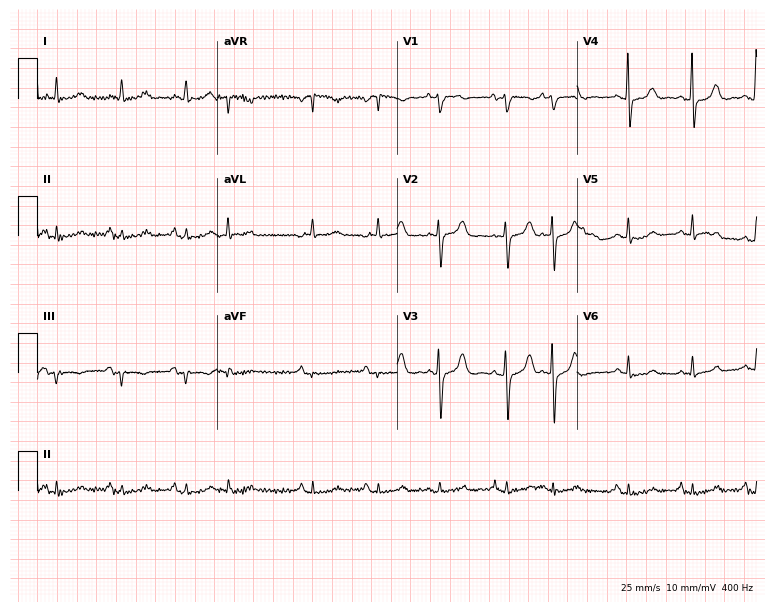
ECG (7.3-second recording at 400 Hz) — a 78-year-old woman. Screened for six findings — first-degree AV block, right bundle branch block, left bundle branch block, sinus bradycardia, atrial fibrillation, sinus tachycardia — none is recorded.